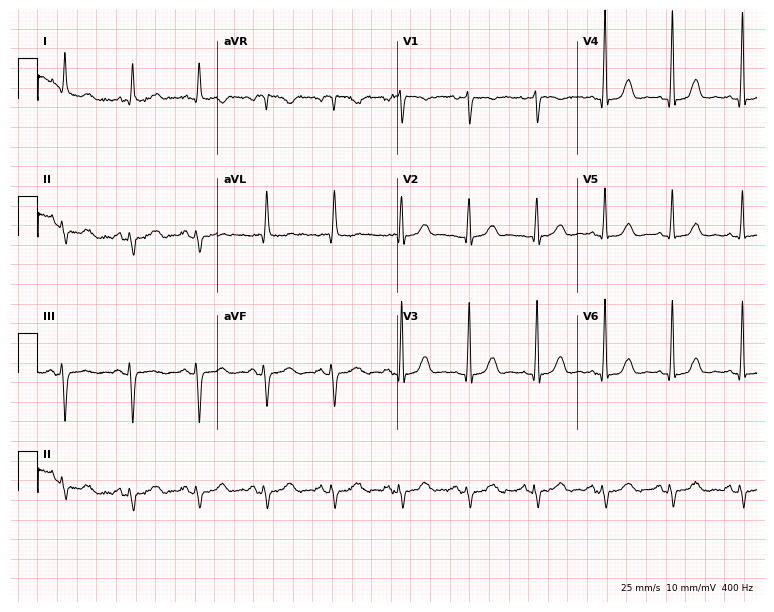
Standard 12-lead ECG recorded from a woman, 64 years old. None of these six findings is recorded: first-degree AV block, right bundle branch block, left bundle branch block, sinus bradycardia, atrial fibrillation, sinus tachycardia. Findings outside these six are not listed.